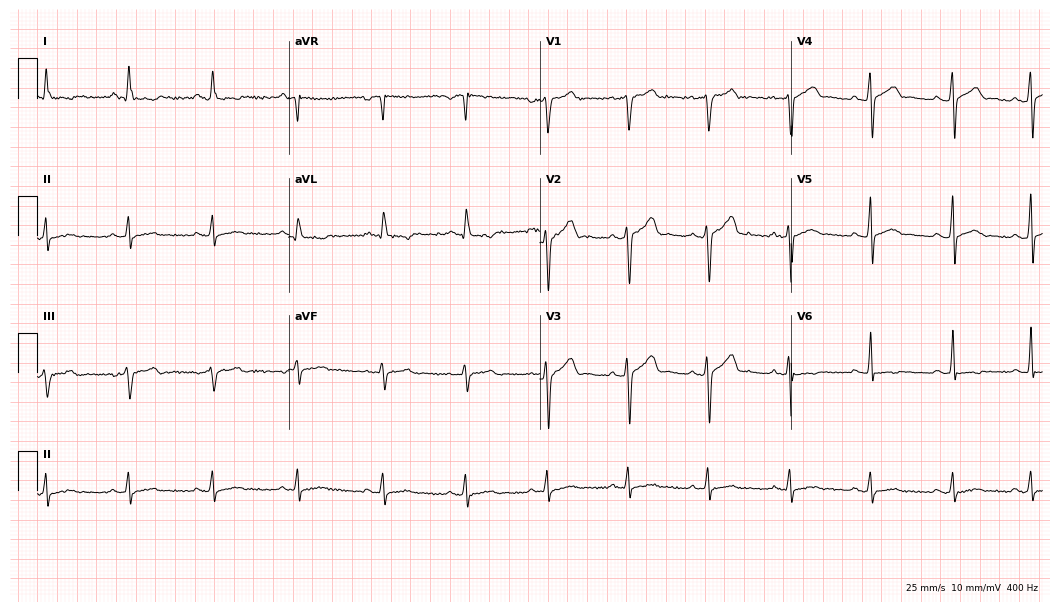
Standard 12-lead ECG recorded from a 40-year-old male (10.2-second recording at 400 Hz). Read as a normal ECG.